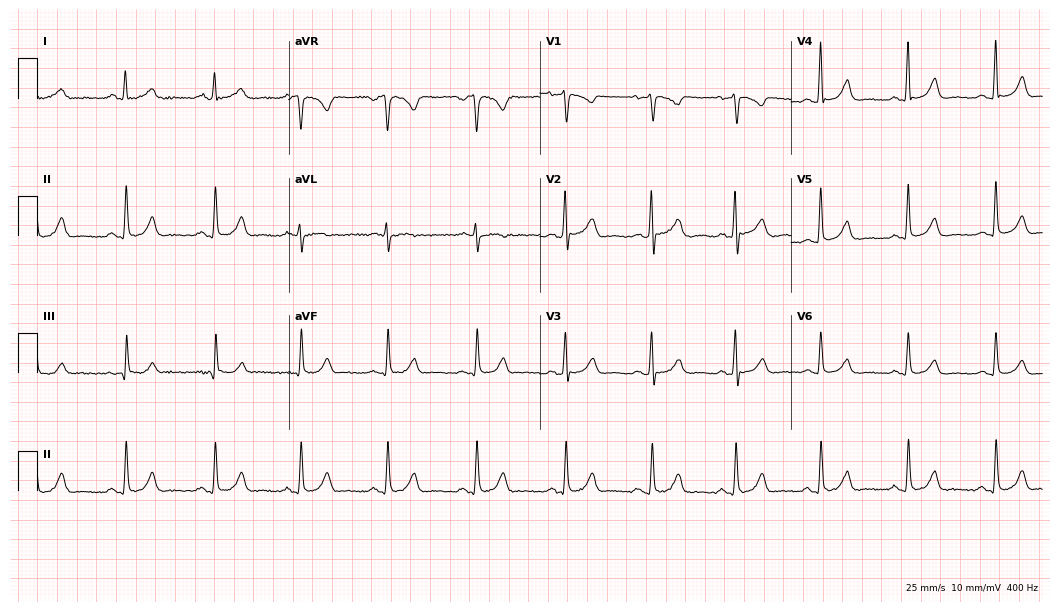
12-lead ECG from a female, 73 years old. Labelled as a normal ECG.